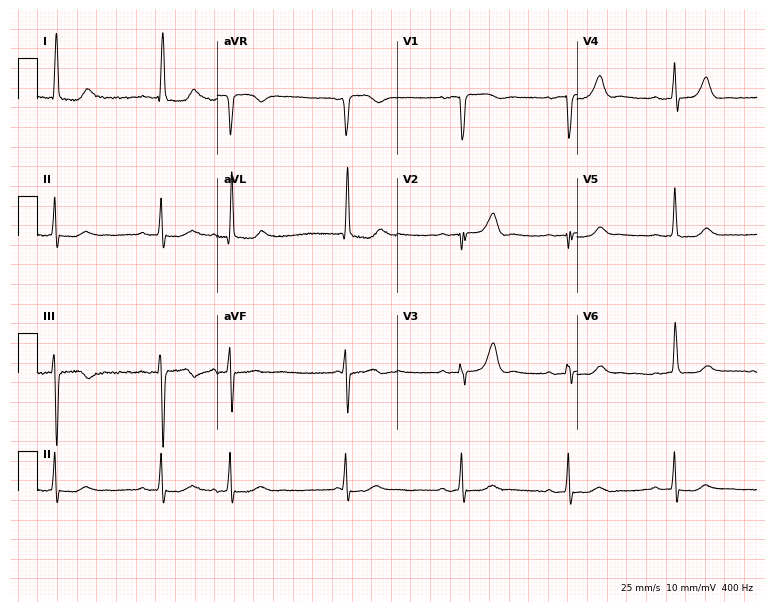
Electrocardiogram (7.3-second recording at 400 Hz), an 85-year-old woman. Of the six screened findings (first-degree AV block, right bundle branch block, left bundle branch block, sinus bradycardia, atrial fibrillation, sinus tachycardia), none is recorded.